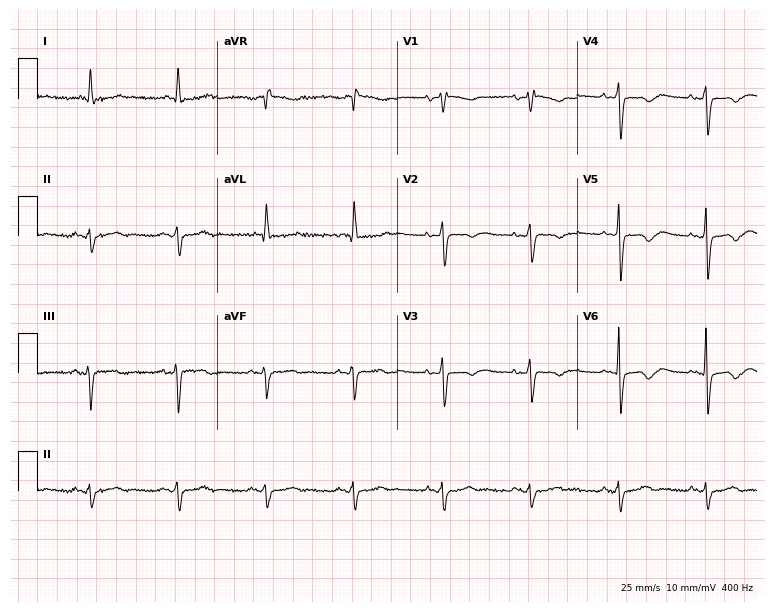
12-lead ECG (7.3-second recording at 400 Hz) from a 74-year-old female patient. Screened for six findings — first-degree AV block, right bundle branch block, left bundle branch block, sinus bradycardia, atrial fibrillation, sinus tachycardia — none is recorded. Findings outside these six are not listed.